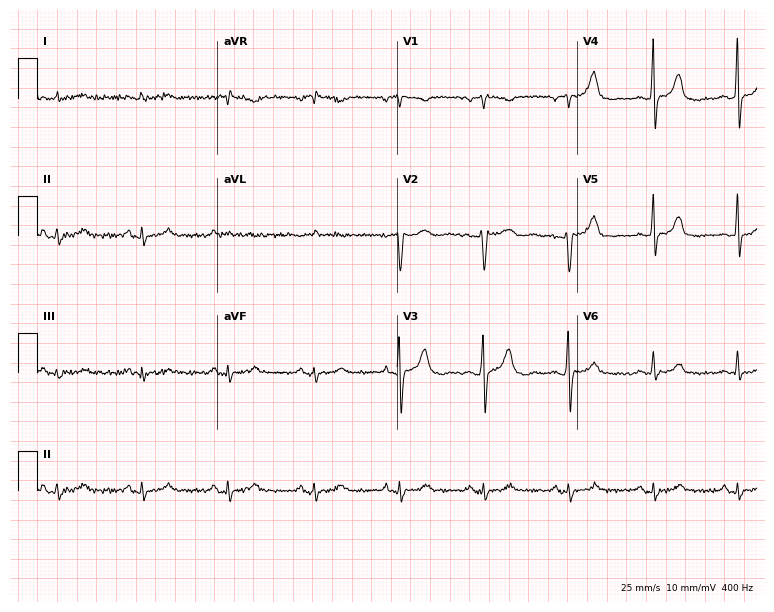
12-lead ECG from a male, 84 years old (7.3-second recording at 400 Hz). Recorded interpretation: within normal limits.